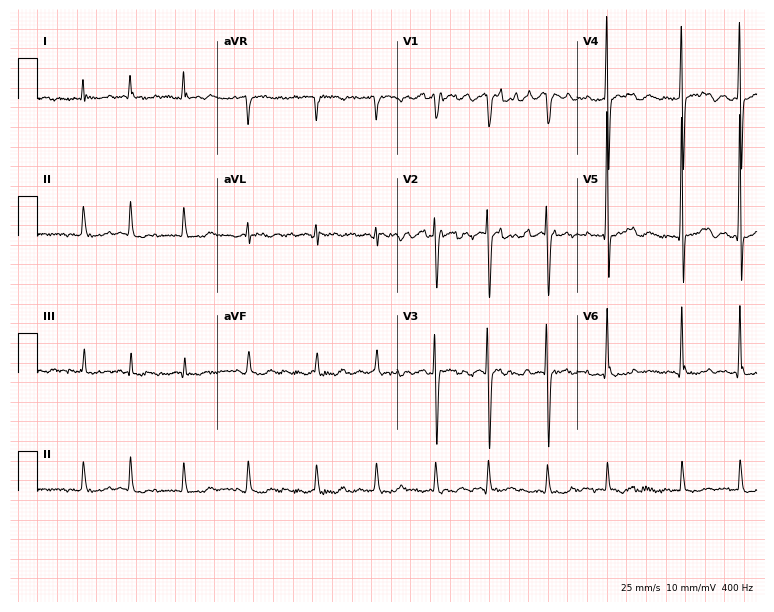
12-lead ECG from a male patient, 83 years old. Findings include atrial fibrillation.